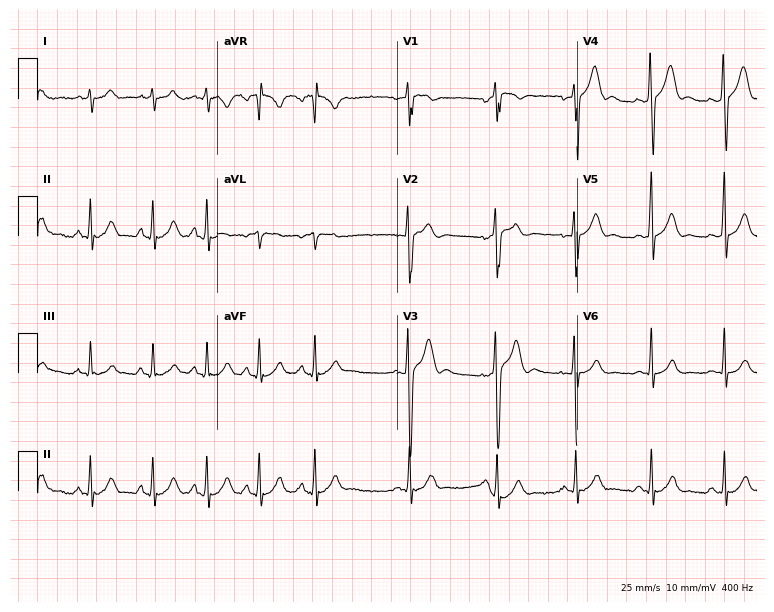
12-lead ECG from a 21-year-old male patient (7.3-second recording at 400 Hz). Recorded interpretation: within normal limits.